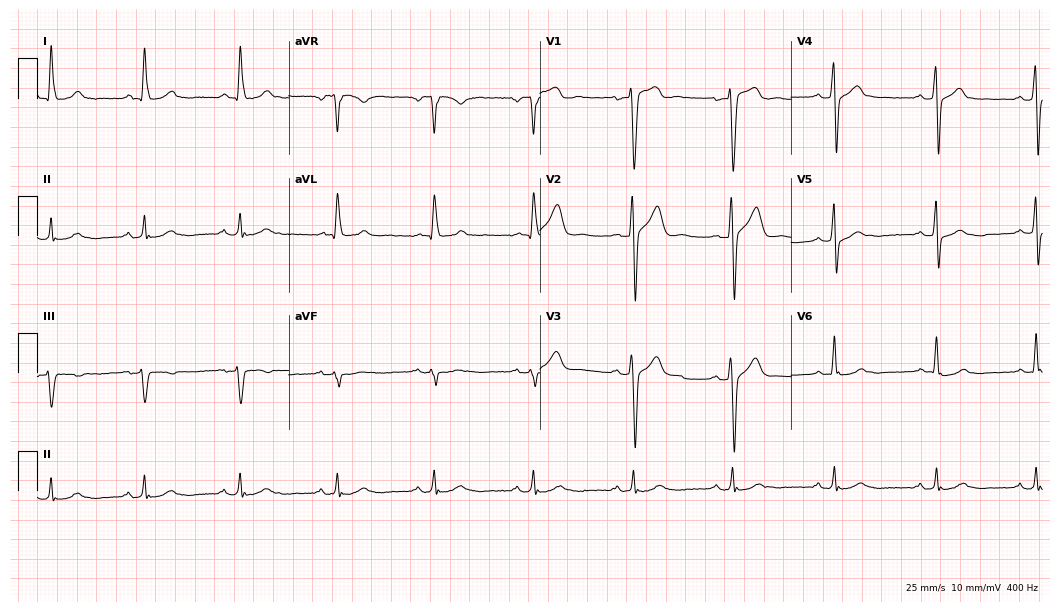
ECG (10.2-second recording at 400 Hz) — a man, 50 years old. Screened for six findings — first-degree AV block, right bundle branch block (RBBB), left bundle branch block (LBBB), sinus bradycardia, atrial fibrillation (AF), sinus tachycardia — none is recorded. Only these six findings were labelled.